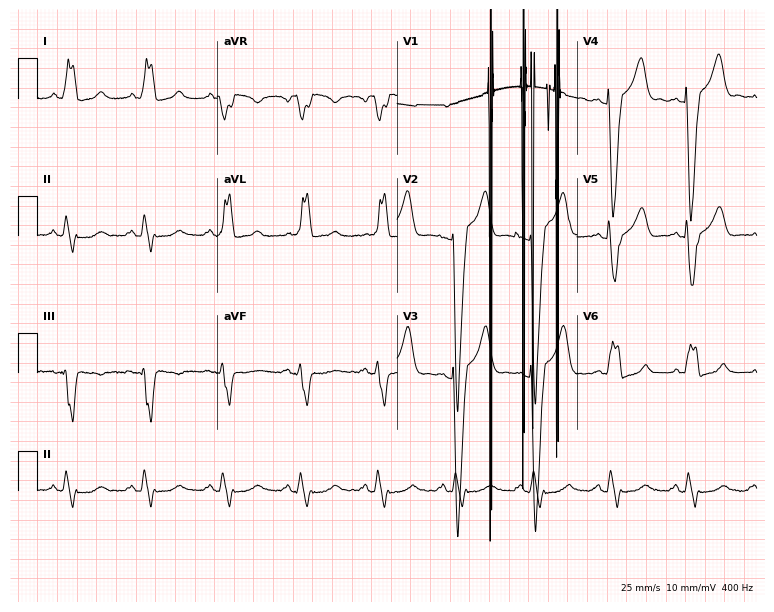
ECG (7.3-second recording at 400 Hz) — a 66-year-old woman. Screened for six findings — first-degree AV block, right bundle branch block, left bundle branch block, sinus bradycardia, atrial fibrillation, sinus tachycardia — none is recorded.